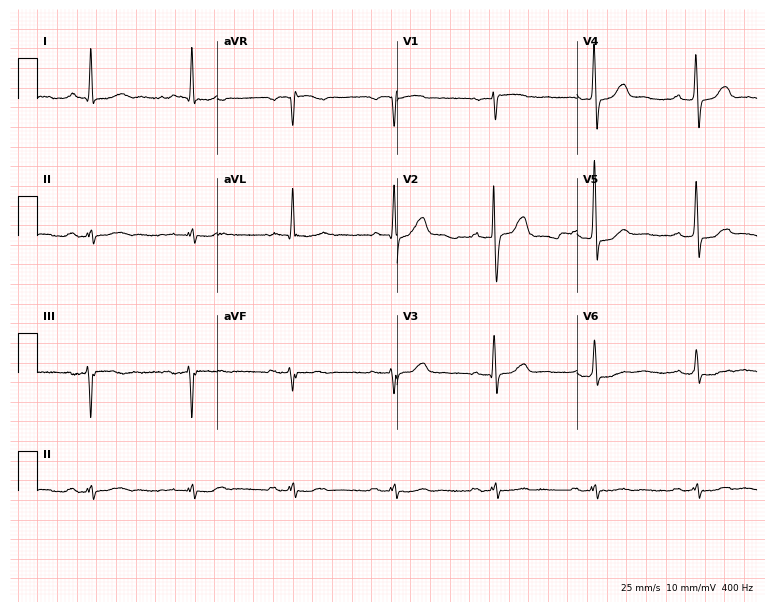
12-lead ECG from a male patient, 67 years old (7.3-second recording at 400 Hz). No first-degree AV block, right bundle branch block, left bundle branch block, sinus bradycardia, atrial fibrillation or sinus tachycardia recorded for this tracing. Findings outside these six are not listed.